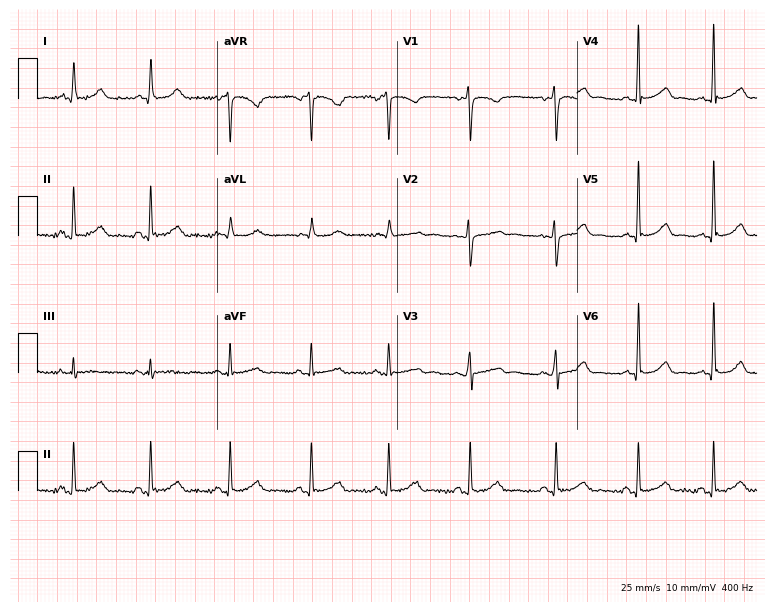
12-lead ECG from a woman, 26 years old. Labelled as a normal ECG.